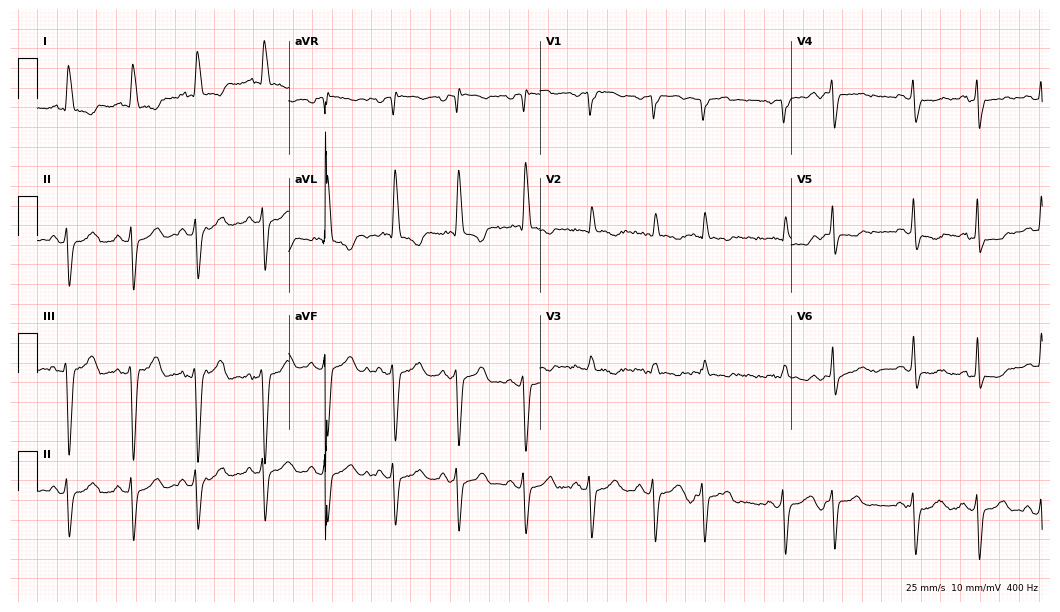
Electrocardiogram, a 78-year-old female. Of the six screened findings (first-degree AV block, right bundle branch block, left bundle branch block, sinus bradycardia, atrial fibrillation, sinus tachycardia), none is recorded.